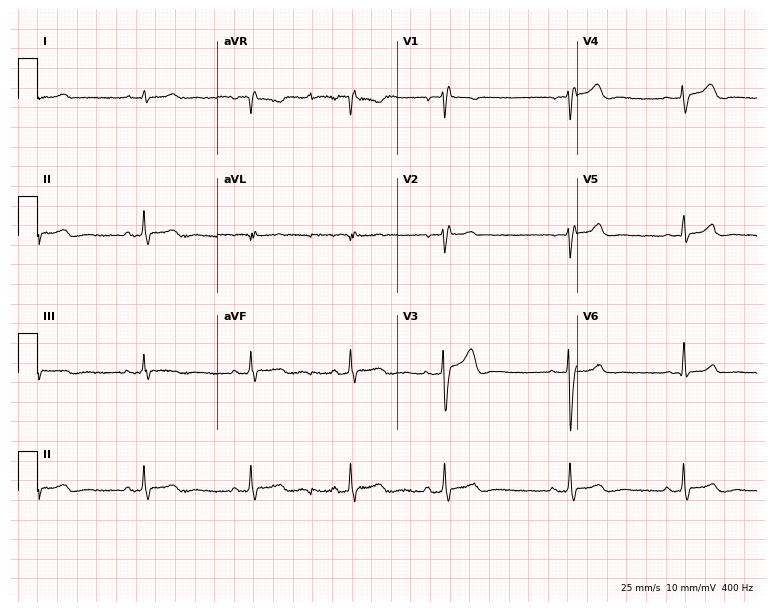
12-lead ECG from an 18-year-old man. Labelled as a normal ECG.